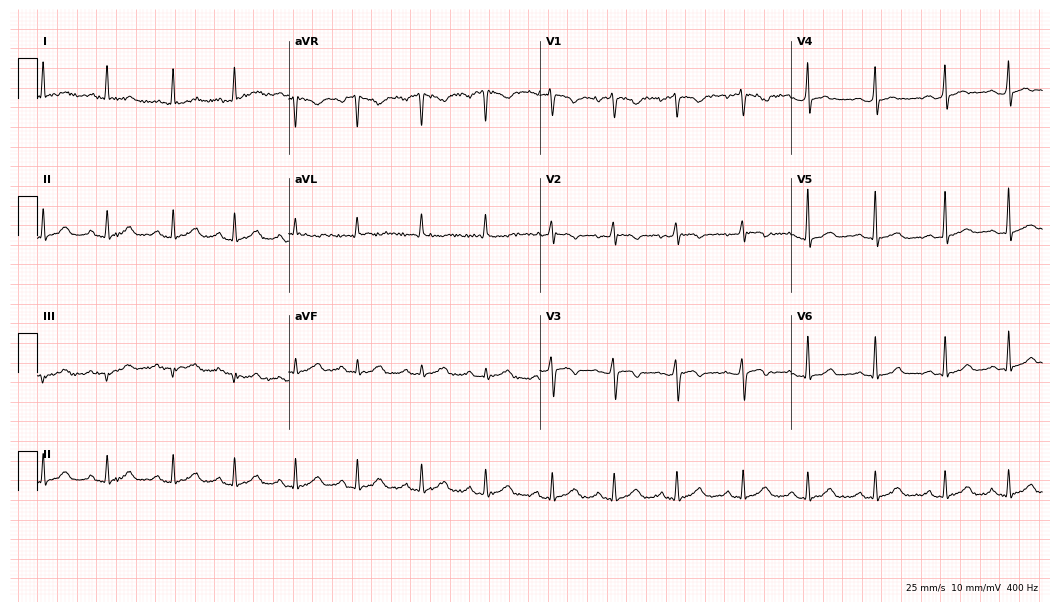
Resting 12-lead electrocardiogram (10.2-second recording at 400 Hz). Patient: a female, 37 years old. None of these six findings is recorded: first-degree AV block, right bundle branch block, left bundle branch block, sinus bradycardia, atrial fibrillation, sinus tachycardia. Only these six findings were labelled.